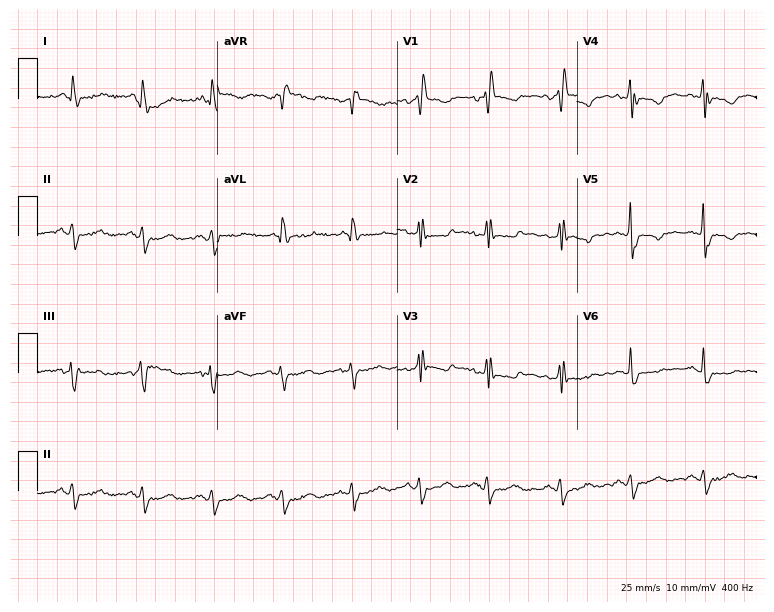
Electrocardiogram, a female, 66 years old. Interpretation includes right bundle branch block (RBBB).